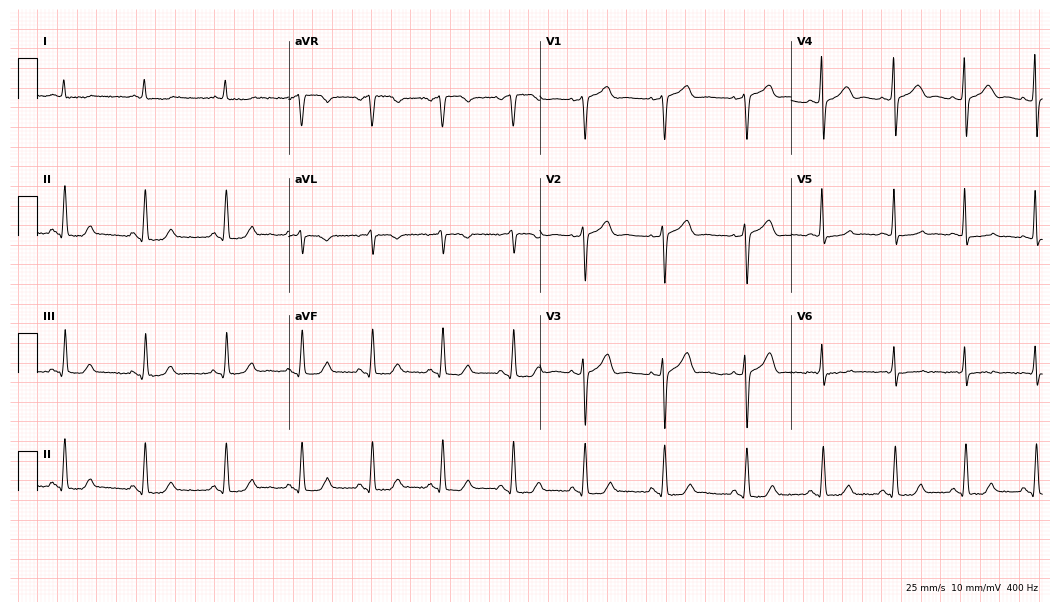
Resting 12-lead electrocardiogram (10.2-second recording at 400 Hz). Patient: a woman, 82 years old. Read as a normal ECG.